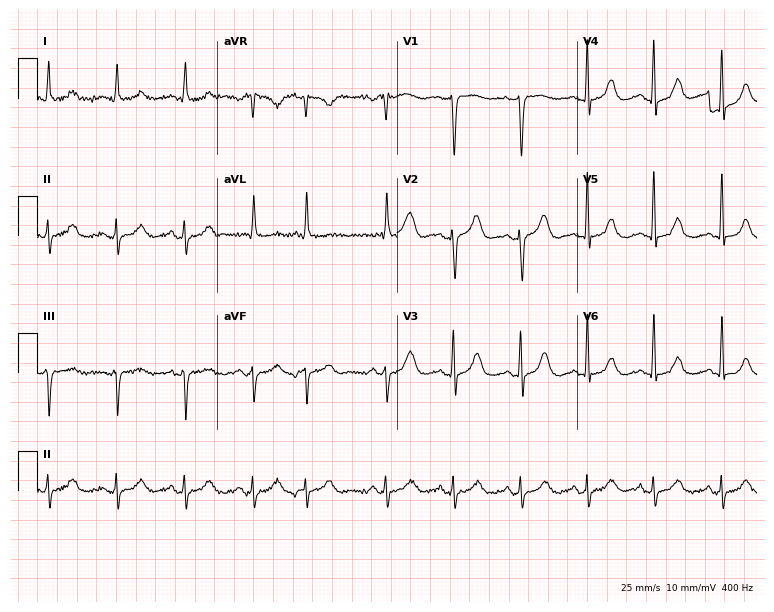
Standard 12-lead ECG recorded from a 65-year-old female patient (7.3-second recording at 400 Hz). None of these six findings is recorded: first-degree AV block, right bundle branch block, left bundle branch block, sinus bradycardia, atrial fibrillation, sinus tachycardia. Only these six findings were labelled.